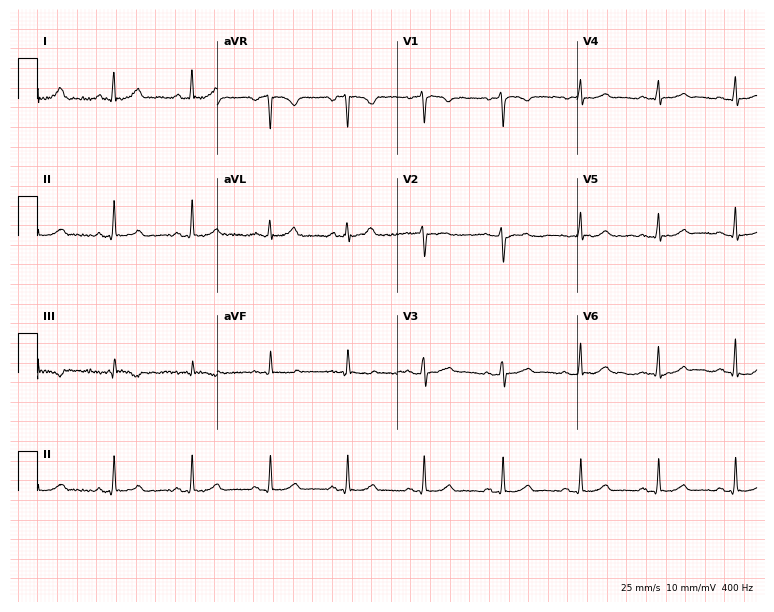
ECG — a 38-year-old female. Labelled as a normal ECG.